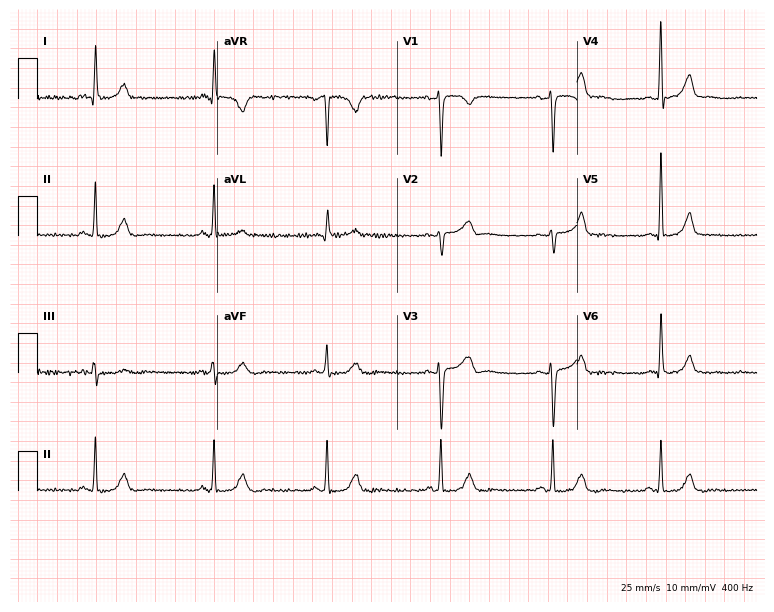
12-lead ECG (7.3-second recording at 400 Hz) from a female patient, 43 years old. Labelled as a normal ECG.